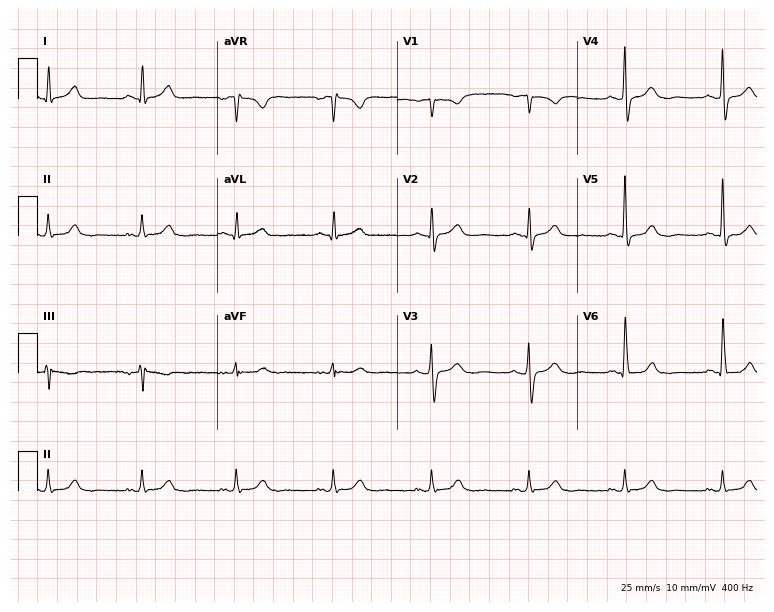
ECG (7.3-second recording at 400 Hz) — a man, 53 years old. Screened for six findings — first-degree AV block, right bundle branch block, left bundle branch block, sinus bradycardia, atrial fibrillation, sinus tachycardia — none is recorded. Findings outside these six are not listed.